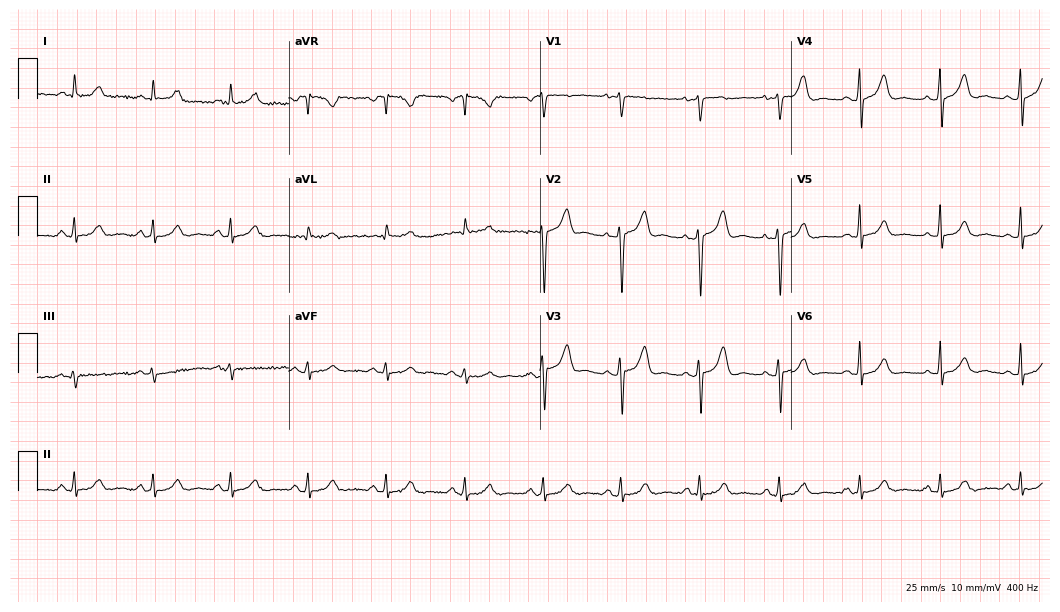
ECG — a woman, 47 years old. Labelled as a normal ECG.